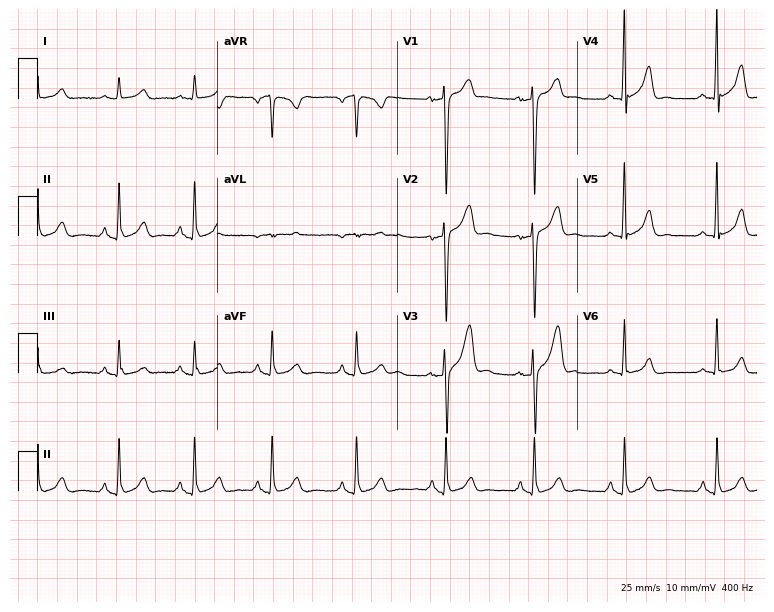
Electrocardiogram, a man, 32 years old. Overall reading on record: normal ECG.